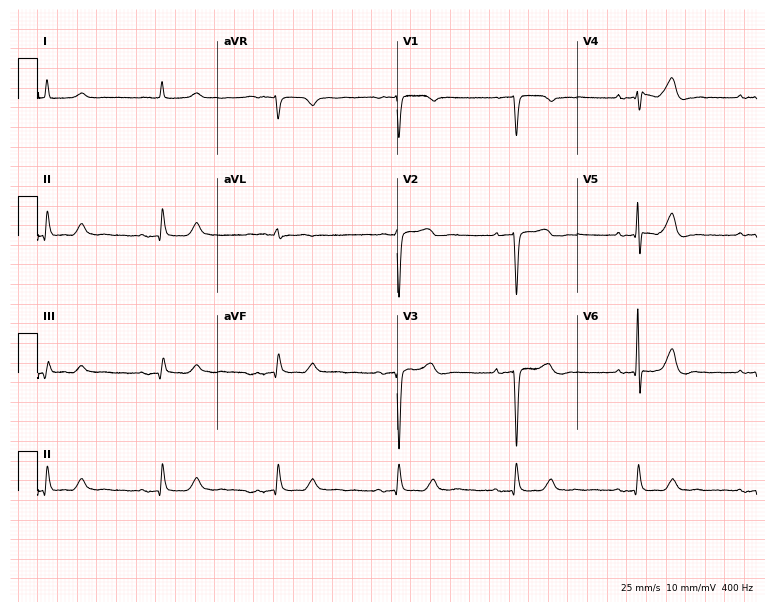
12-lead ECG (7.3-second recording at 400 Hz) from a male, 84 years old. Findings include sinus bradycardia (a sinus rate of 50 beats per minute or less).